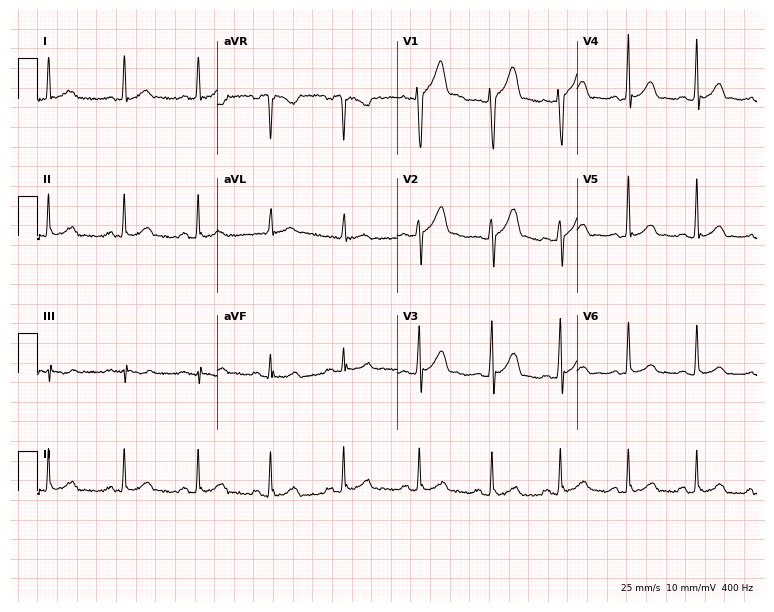
Standard 12-lead ECG recorded from a 30-year-old male (7.3-second recording at 400 Hz). Read as a normal ECG.